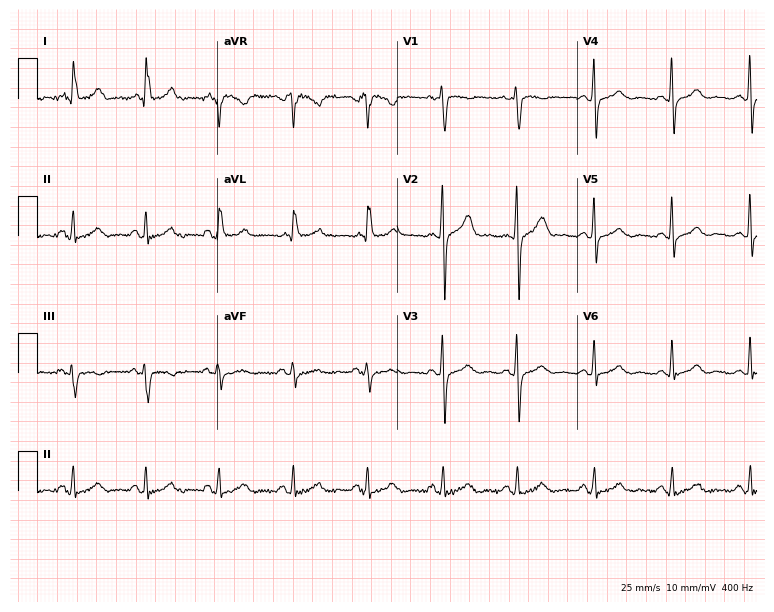
12-lead ECG from a female patient, 64 years old. Labelled as a normal ECG.